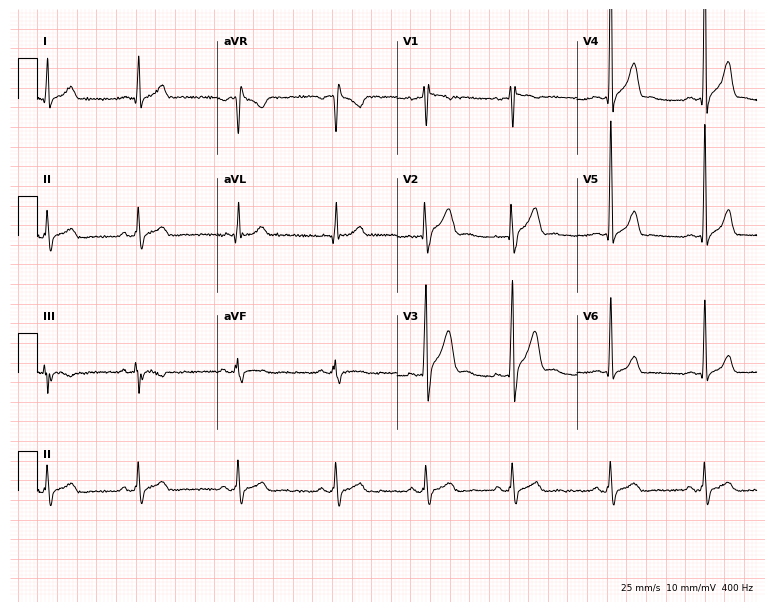
ECG (7.3-second recording at 400 Hz) — a 19-year-old male patient. Screened for six findings — first-degree AV block, right bundle branch block, left bundle branch block, sinus bradycardia, atrial fibrillation, sinus tachycardia — none is recorded. Other findings, if any, are not listed.